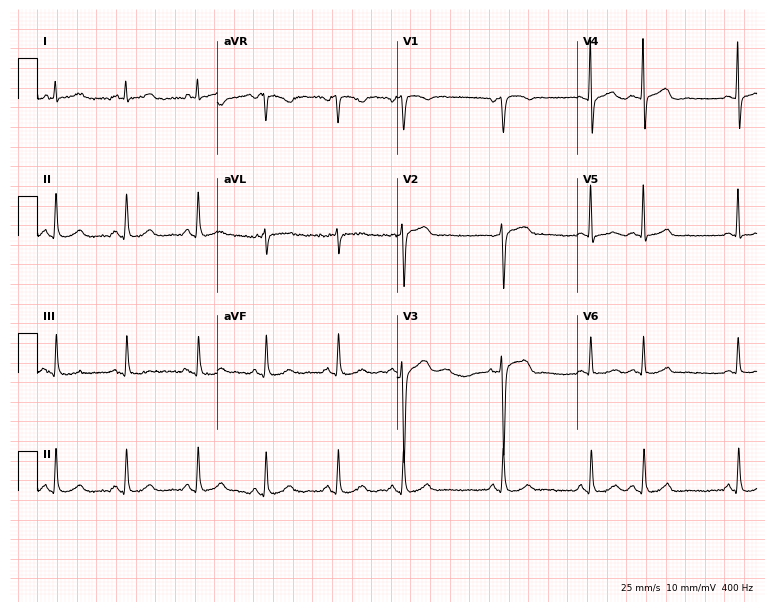
ECG — a male, 78 years old. Labelled as a normal ECG.